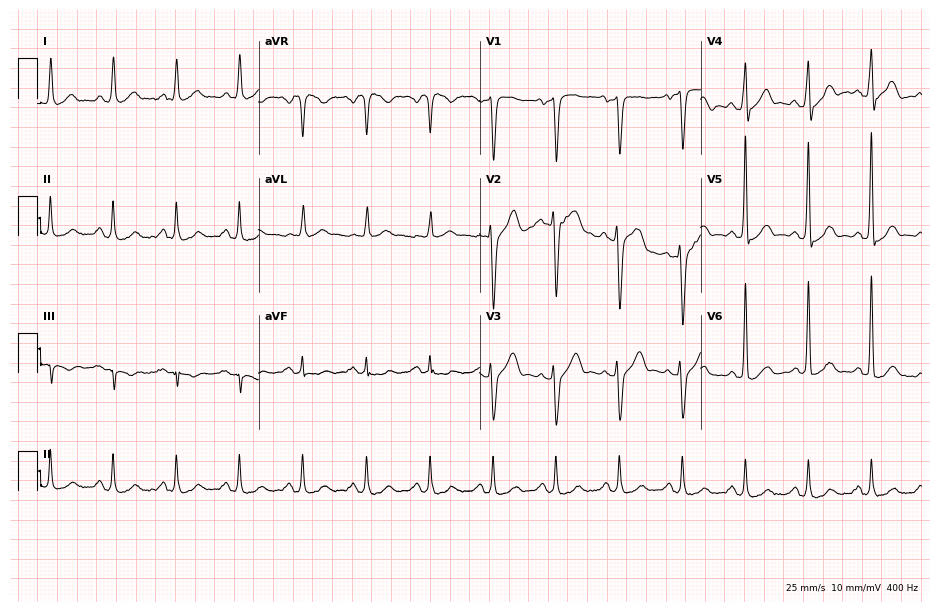
Resting 12-lead electrocardiogram (9-second recording at 400 Hz). Patient: a man, 61 years old. Read as a normal ECG.